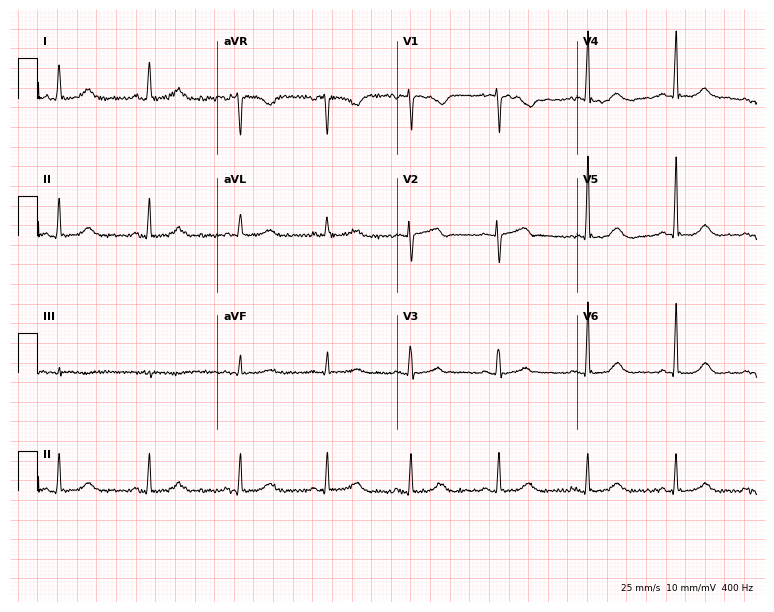
12-lead ECG (7.3-second recording at 400 Hz) from a 64-year-old female patient. Labelled as a normal ECG.